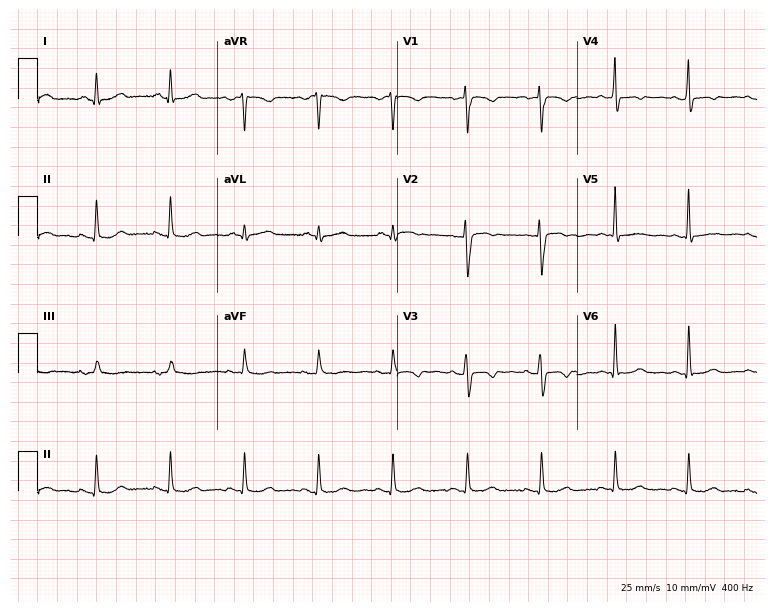
12-lead ECG from a woman, 50 years old (7.3-second recording at 400 Hz). Recorded interpretation: within normal limits.